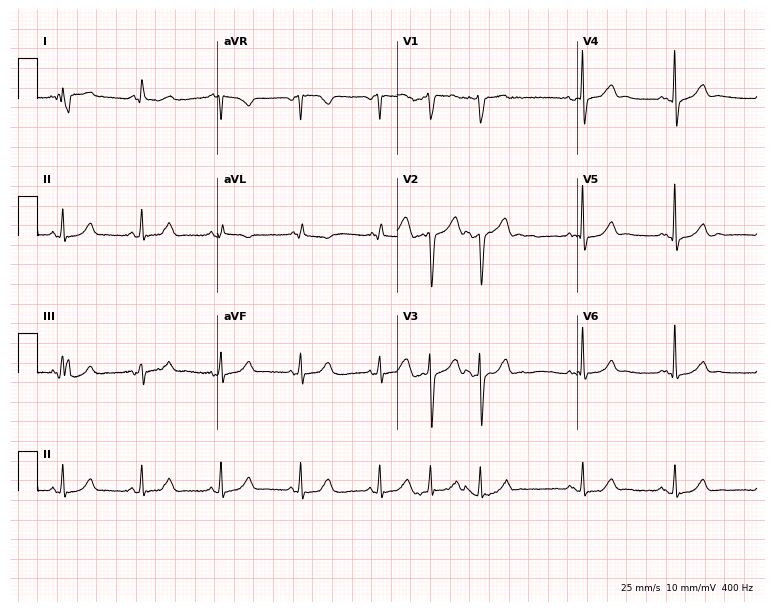
Standard 12-lead ECG recorded from a male, 74 years old (7.3-second recording at 400 Hz). Read as a normal ECG.